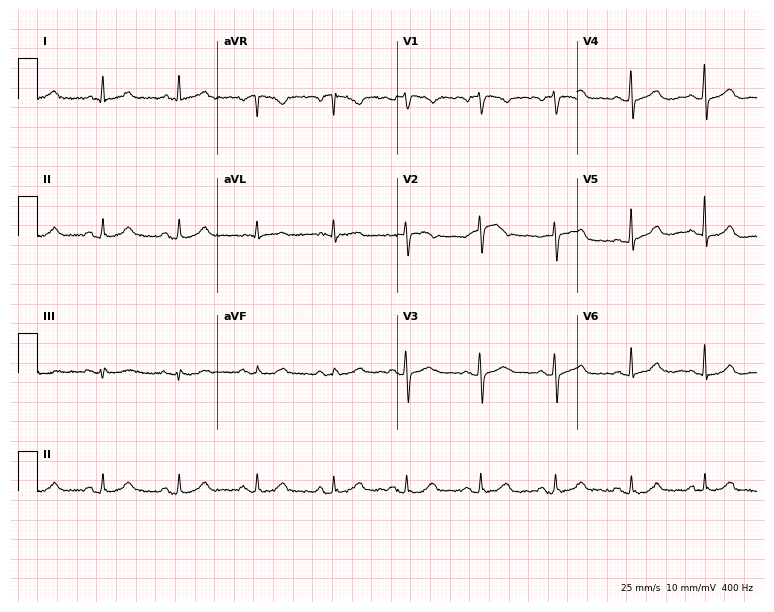
Electrocardiogram, a female patient, 80 years old. Of the six screened findings (first-degree AV block, right bundle branch block (RBBB), left bundle branch block (LBBB), sinus bradycardia, atrial fibrillation (AF), sinus tachycardia), none is recorded.